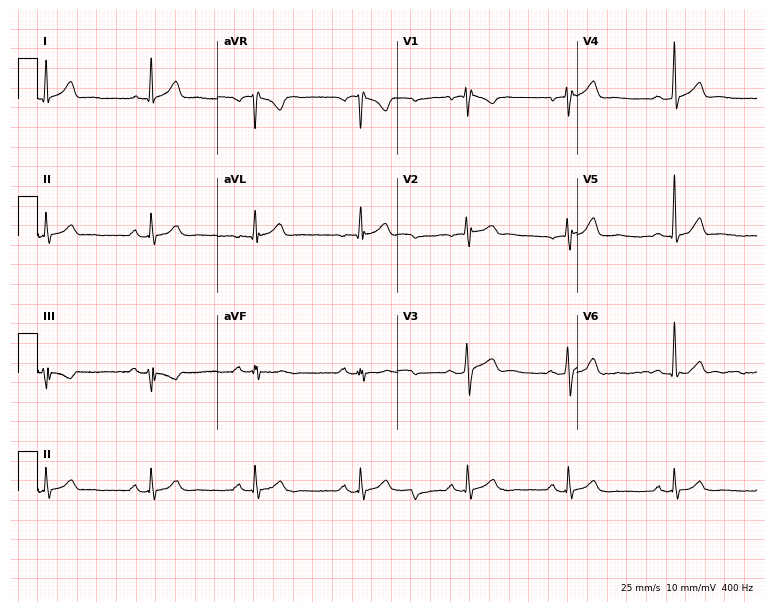
12-lead ECG (7.3-second recording at 400 Hz) from a man, 29 years old. Labelled as a normal ECG.